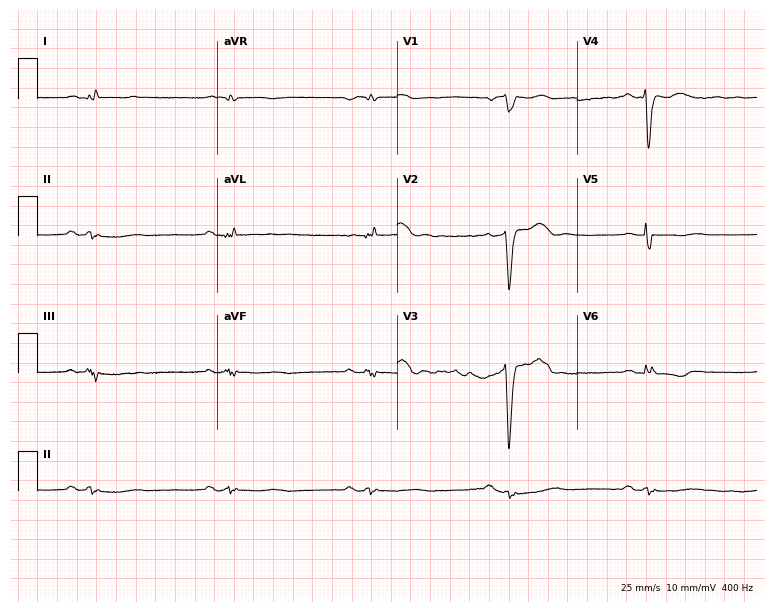
ECG (7.3-second recording at 400 Hz) — a male patient, 74 years old. Findings include first-degree AV block, sinus bradycardia (a sinus rate of 50 beats per minute or less).